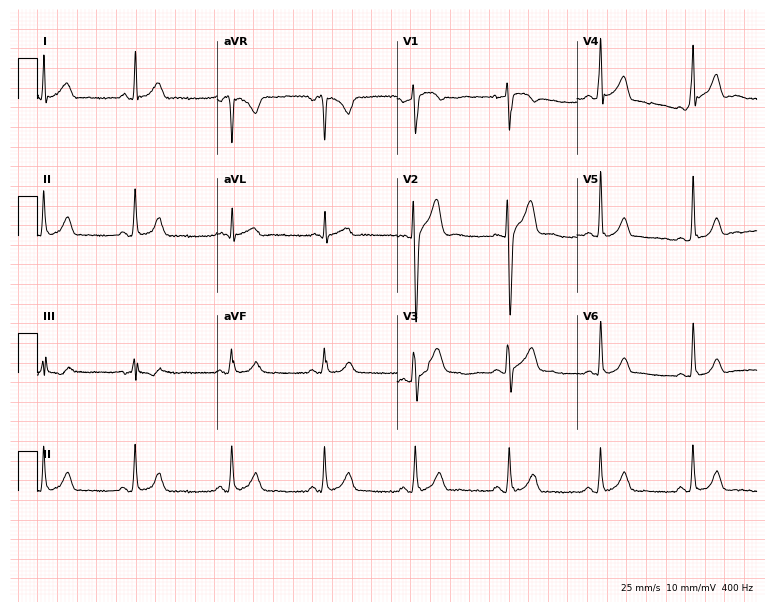
12-lead ECG from a man, 36 years old (7.3-second recording at 400 Hz). Recorded interpretation: within normal limits.